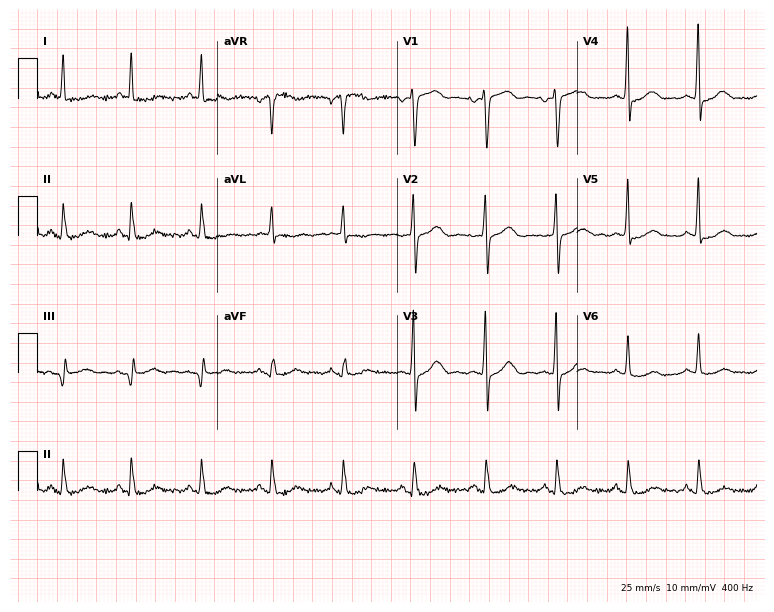
12-lead ECG (7.3-second recording at 400 Hz) from a female, 81 years old. Labelled as a normal ECG.